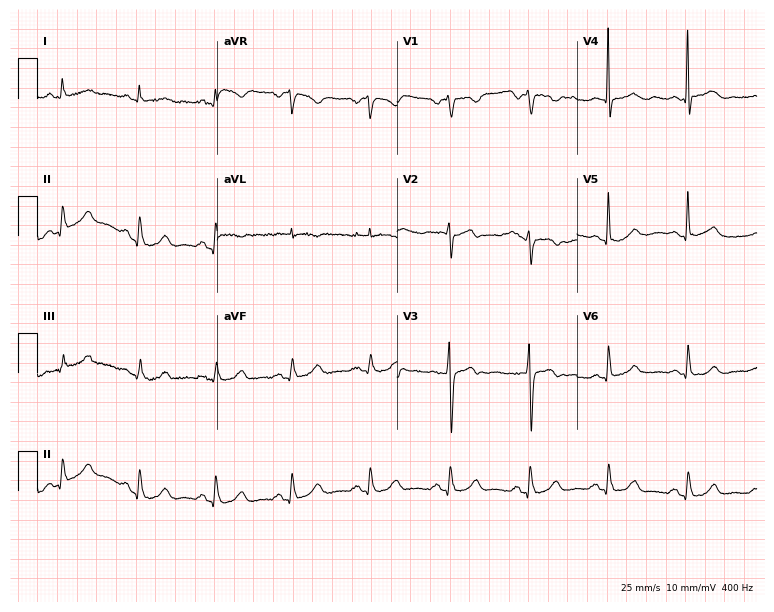
Resting 12-lead electrocardiogram (7.3-second recording at 400 Hz). Patient: a woman, 48 years old. Read as a normal ECG.